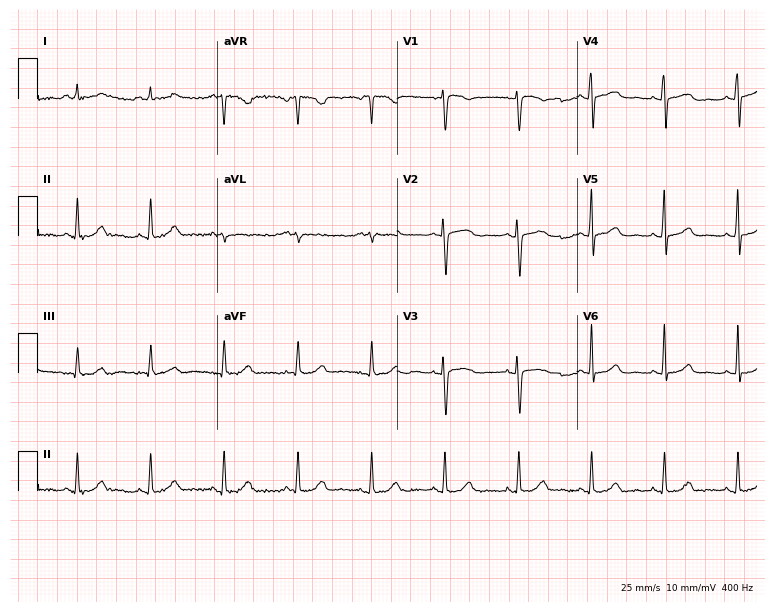
Resting 12-lead electrocardiogram. Patient: a 49-year-old female. Read as a normal ECG.